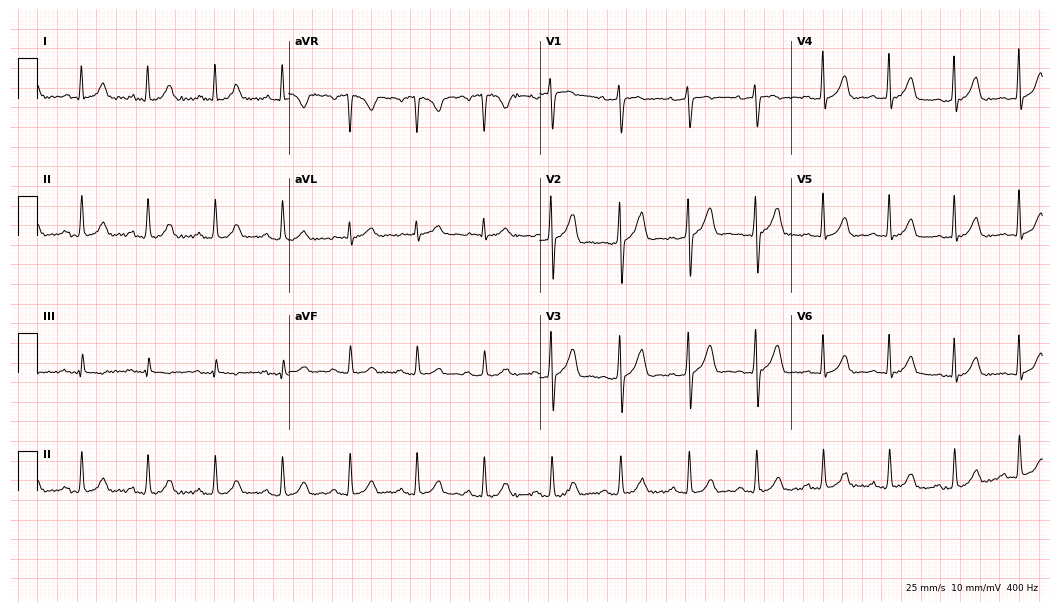
ECG — a man, 54 years old. Screened for six findings — first-degree AV block, right bundle branch block, left bundle branch block, sinus bradycardia, atrial fibrillation, sinus tachycardia — none is recorded. Findings outside these six are not listed.